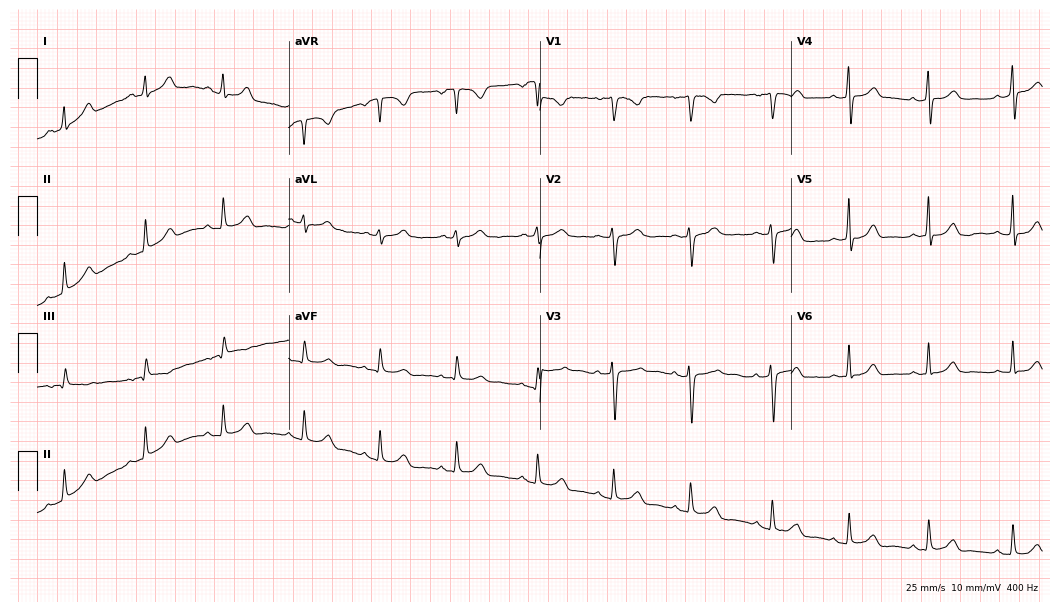
ECG (10.2-second recording at 400 Hz) — a female, 29 years old. Labelled as a normal ECG.